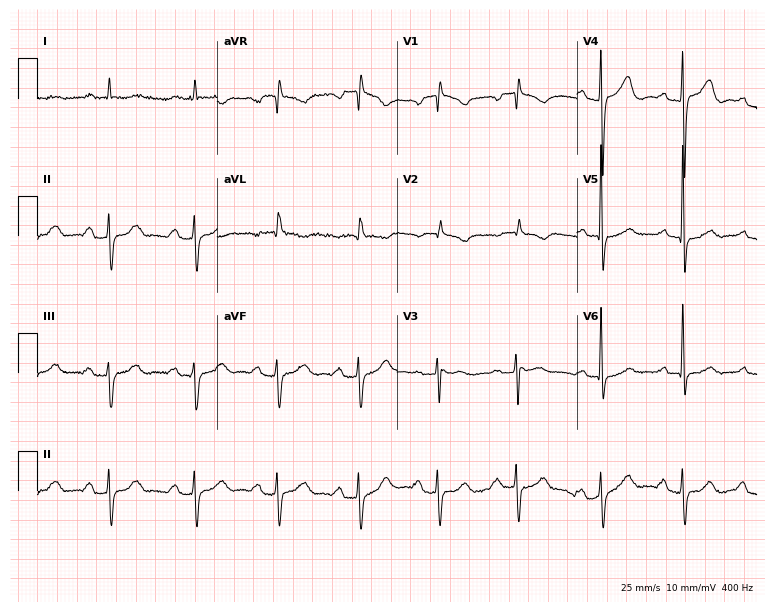
Standard 12-lead ECG recorded from a 78-year-old male patient. The tracing shows first-degree AV block.